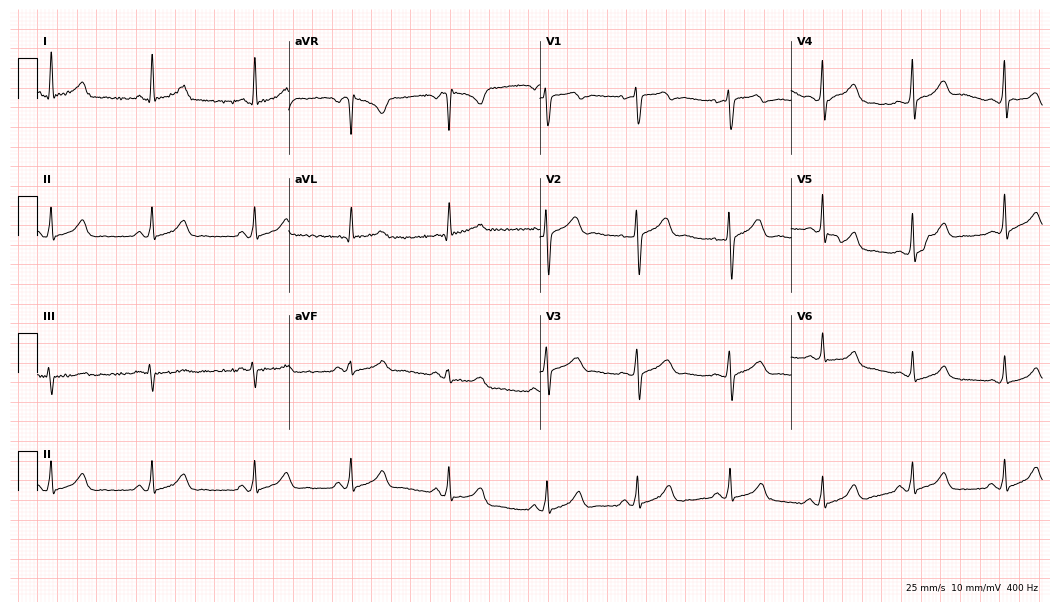
12-lead ECG (10.2-second recording at 400 Hz) from a 38-year-old female patient. Labelled as a normal ECG.